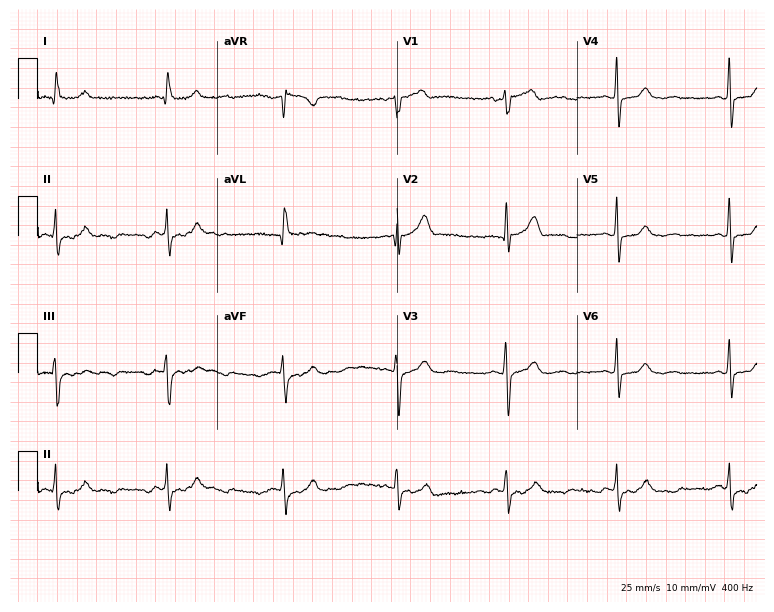
Resting 12-lead electrocardiogram. Patient: a male, 59 years old. Read as a normal ECG.